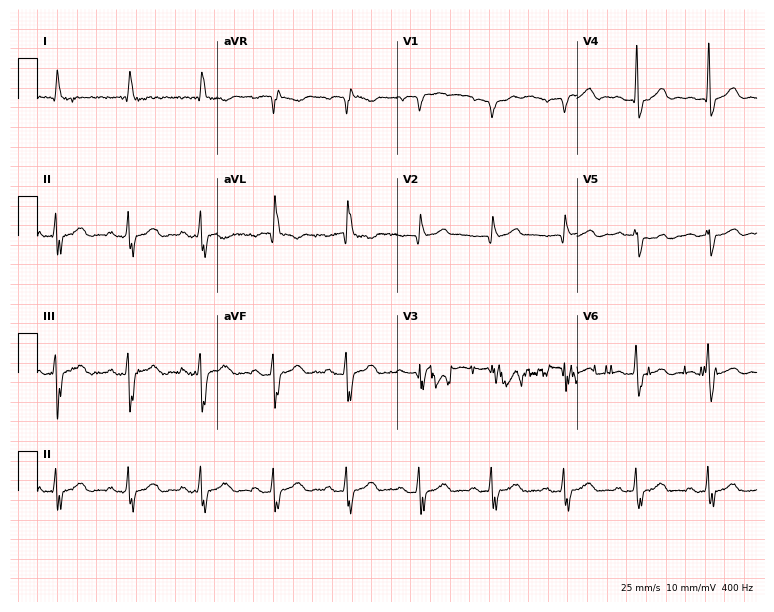
Resting 12-lead electrocardiogram. Patient: a man, 82 years old. None of these six findings is recorded: first-degree AV block, right bundle branch block (RBBB), left bundle branch block (LBBB), sinus bradycardia, atrial fibrillation (AF), sinus tachycardia. Findings outside these six are not listed.